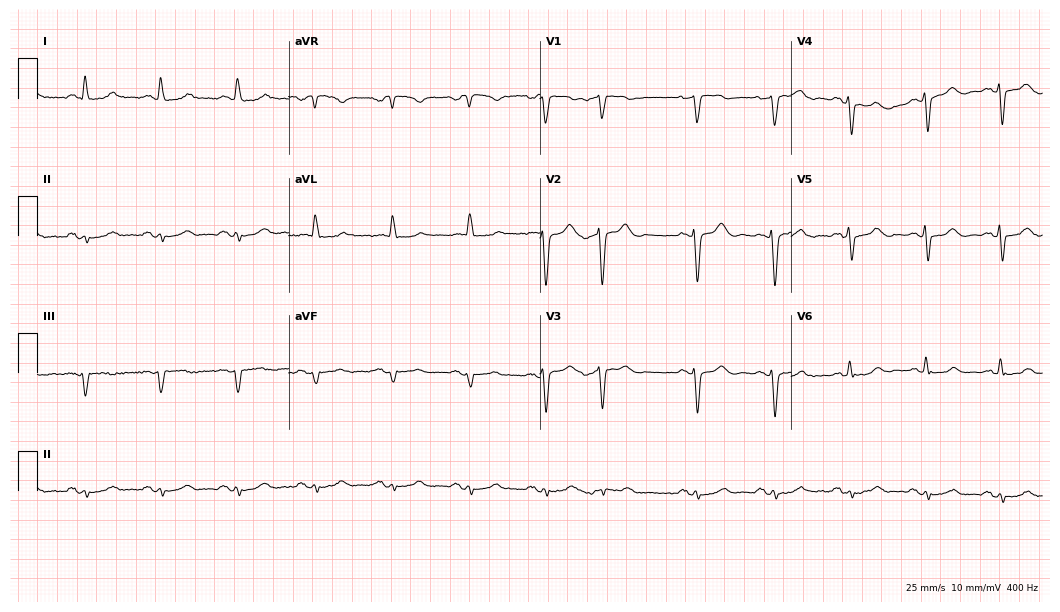
Standard 12-lead ECG recorded from a female, 78 years old (10.2-second recording at 400 Hz). None of these six findings is recorded: first-degree AV block, right bundle branch block, left bundle branch block, sinus bradycardia, atrial fibrillation, sinus tachycardia.